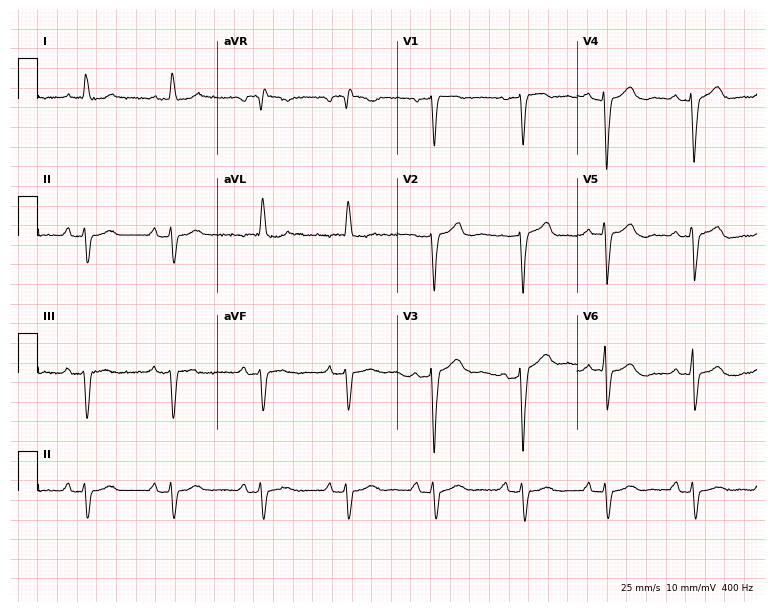
Standard 12-lead ECG recorded from a female, 82 years old. None of these six findings is recorded: first-degree AV block, right bundle branch block, left bundle branch block, sinus bradycardia, atrial fibrillation, sinus tachycardia.